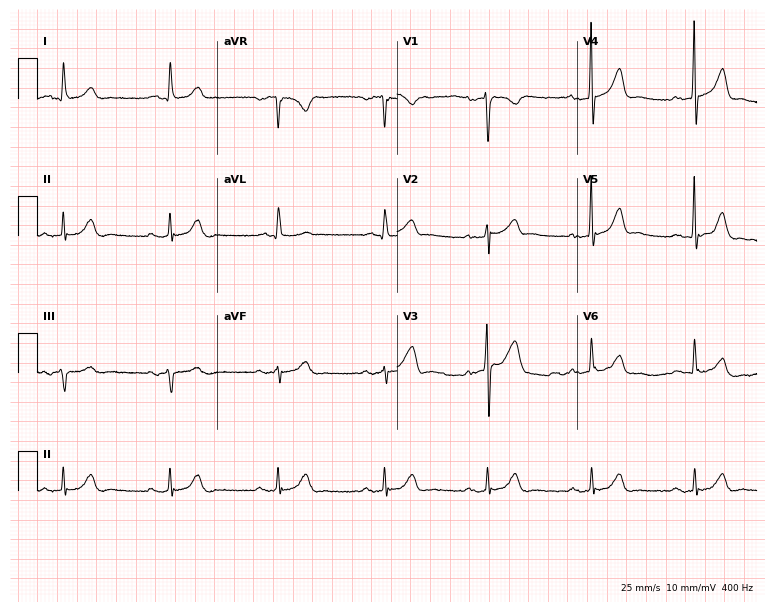
Electrocardiogram, a 57-year-old male. Of the six screened findings (first-degree AV block, right bundle branch block (RBBB), left bundle branch block (LBBB), sinus bradycardia, atrial fibrillation (AF), sinus tachycardia), none is recorded.